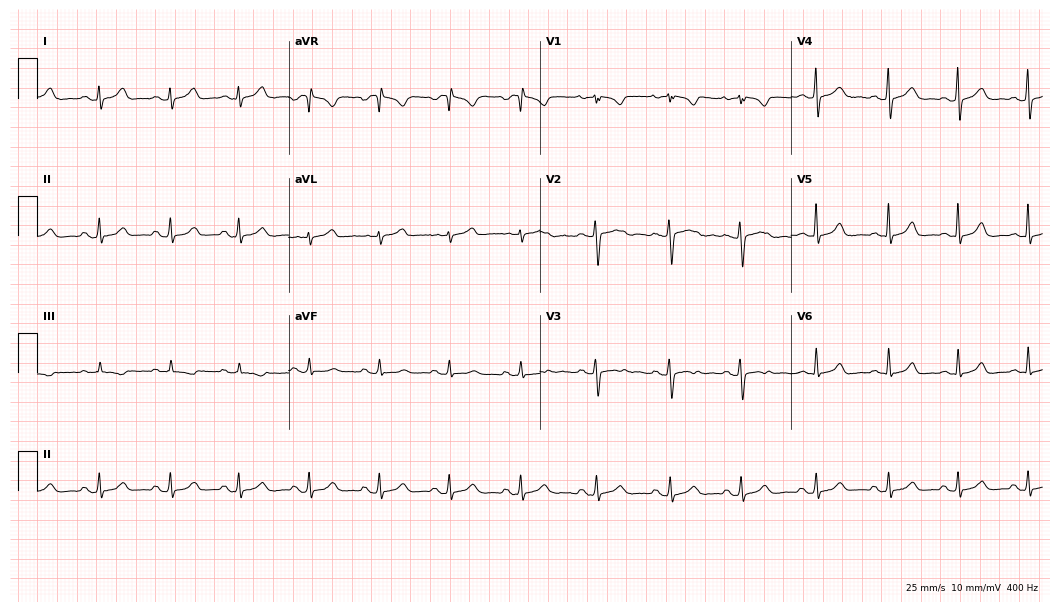
ECG (10.2-second recording at 400 Hz) — a woman, 18 years old. Labelled as a normal ECG.